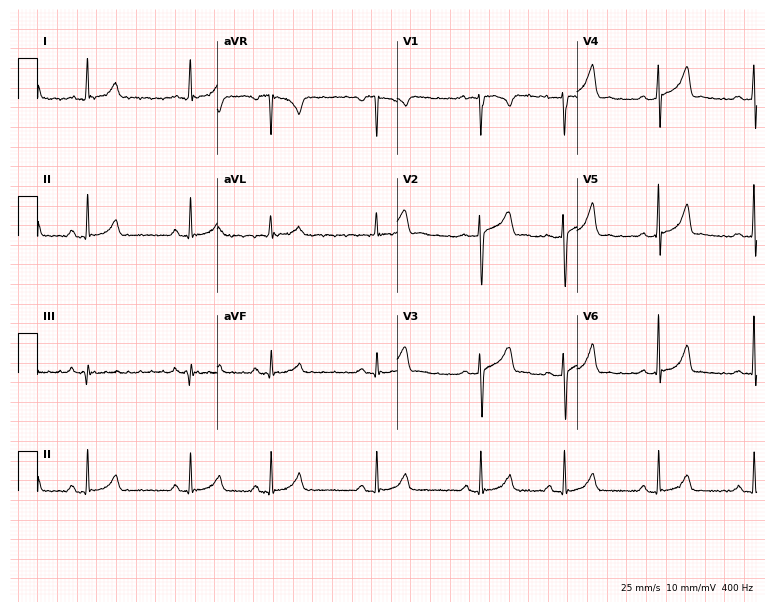
12-lead ECG (7.3-second recording at 400 Hz) from a woman, 24 years old. Labelled as a normal ECG.